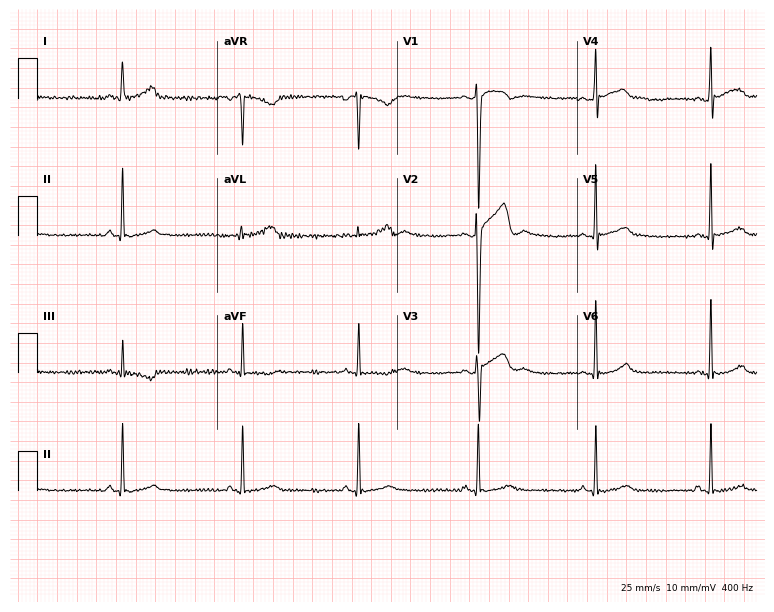
Electrocardiogram (7.3-second recording at 400 Hz), a male patient, 24 years old. Interpretation includes sinus bradycardia (a sinus rate of 50 beats per minute or less).